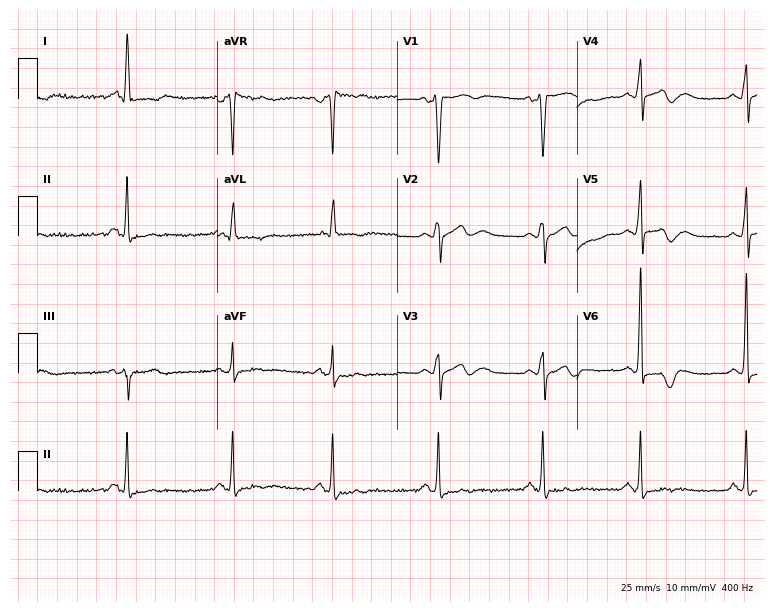
Resting 12-lead electrocardiogram (7.3-second recording at 400 Hz). Patient: a 55-year-old male. None of these six findings is recorded: first-degree AV block, right bundle branch block, left bundle branch block, sinus bradycardia, atrial fibrillation, sinus tachycardia. Only these six findings were labelled.